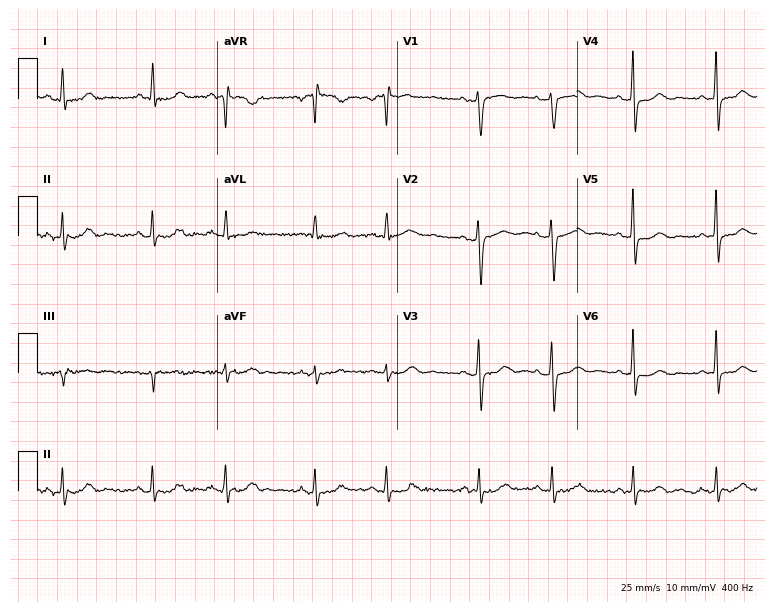
12-lead ECG (7.3-second recording at 400 Hz) from a 58-year-old woman. Labelled as a normal ECG.